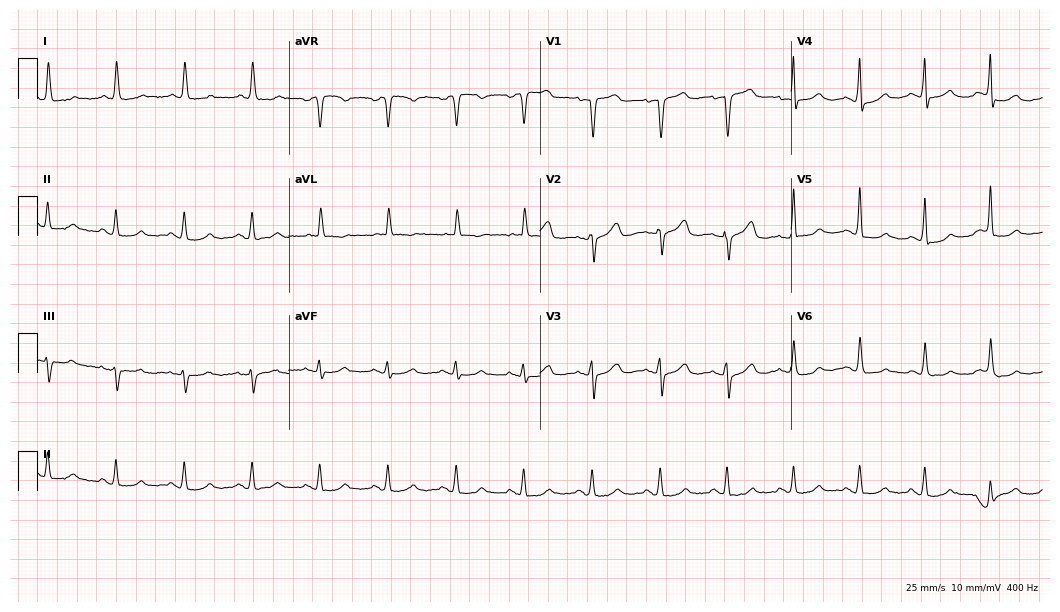
12-lead ECG (10.2-second recording at 400 Hz) from a female, 79 years old. Labelled as a normal ECG.